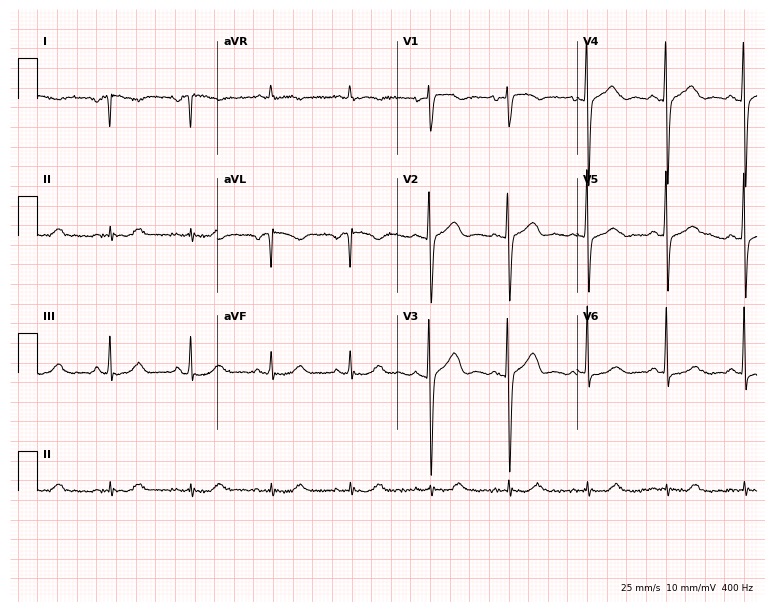
Electrocardiogram (7.3-second recording at 400 Hz), a 73-year-old female patient. Of the six screened findings (first-degree AV block, right bundle branch block (RBBB), left bundle branch block (LBBB), sinus bradycardia, atrial fibrillation (AF), sinus tachycardia), none is recorded.